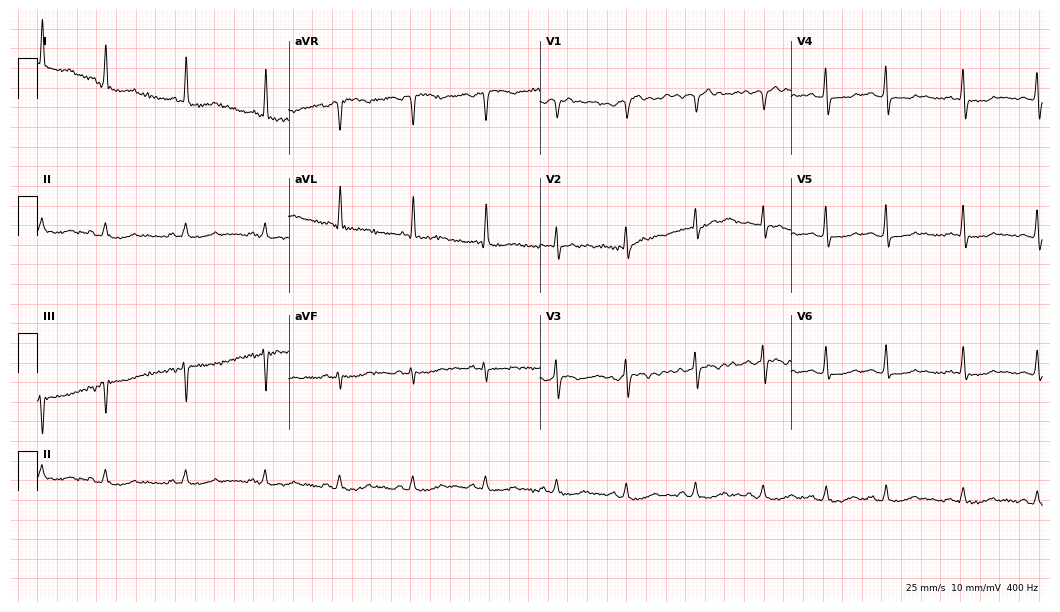
Resting 12-lead electrocardiogram. Patient: a female, 74 years old. None of these six findings is recorded: first-degree AV block, right bundle branch block, left bundle branch block, sinus bradycardia, atrial fibrillation, sinus tachycardia. Findings outside these six are not listed.